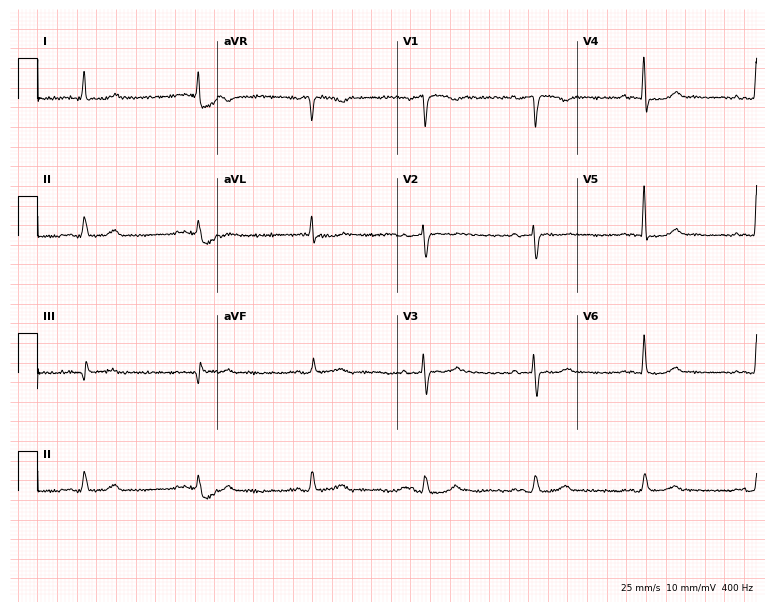
Standard 12-lead ECG recorded from a woman, 68 years old. Read as a normal ECG.